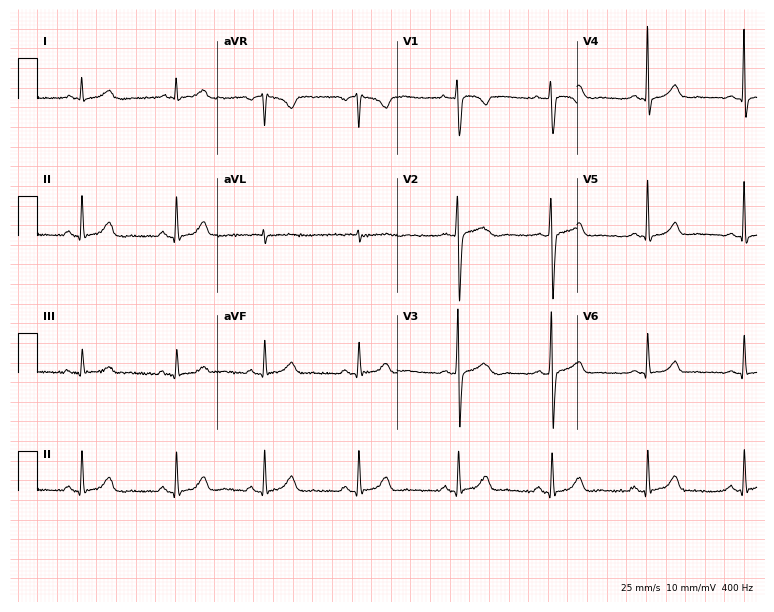
12-lead ECG (7.3-second recording at 400 Hz) from a female patient, 22 years old. Screened for six findings — first-degree AV block, right bundle branch block (RBBB), left bundle branch block (LBBB), sinus bradycardia, atrial fibrillation (AF), sinus tachycardia — none is recorded. Findings outside these six are not listed.